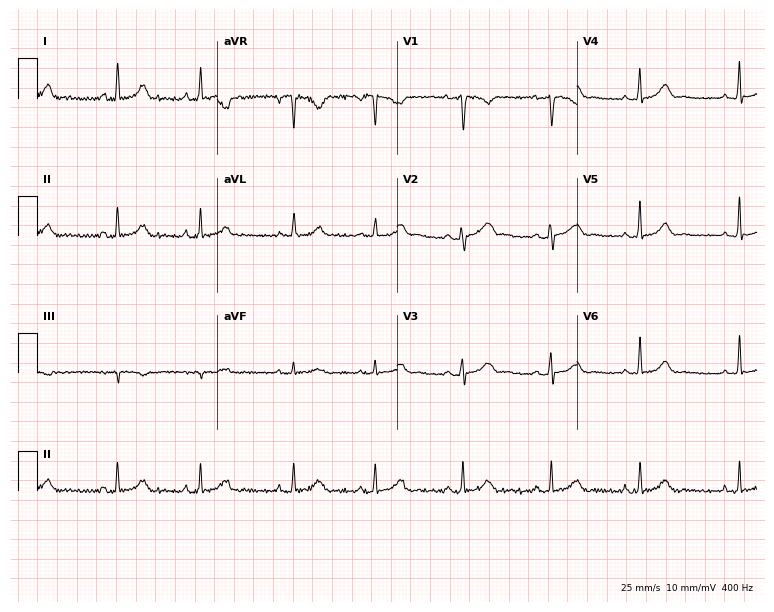
Electrocardiogram, a 21-year-old female. Overall reading on record: normal ECG.